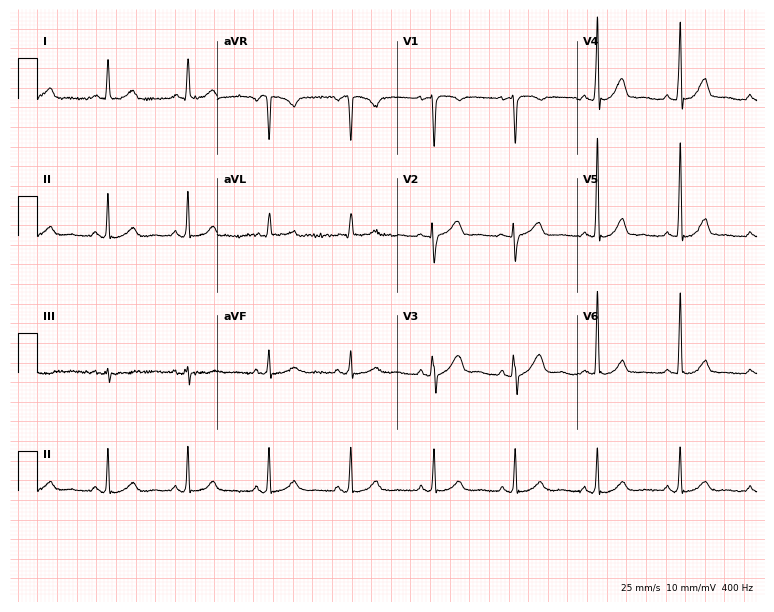
Standard 12-lead ECG recorded from a female, 42 years old. Read as a normal ECG.